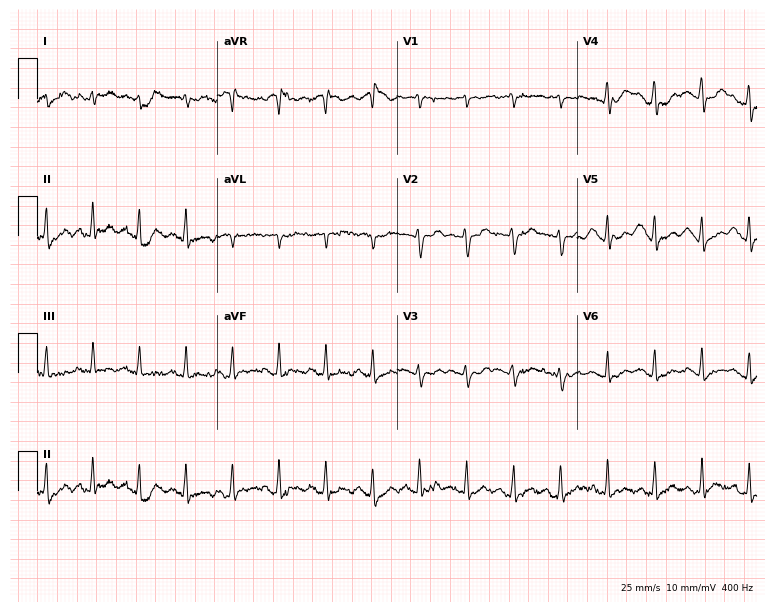
12-lead ECG from a female, 17 years old. Findings include sinus tachycardia (a sinus rate of 100 beats per minute or more).